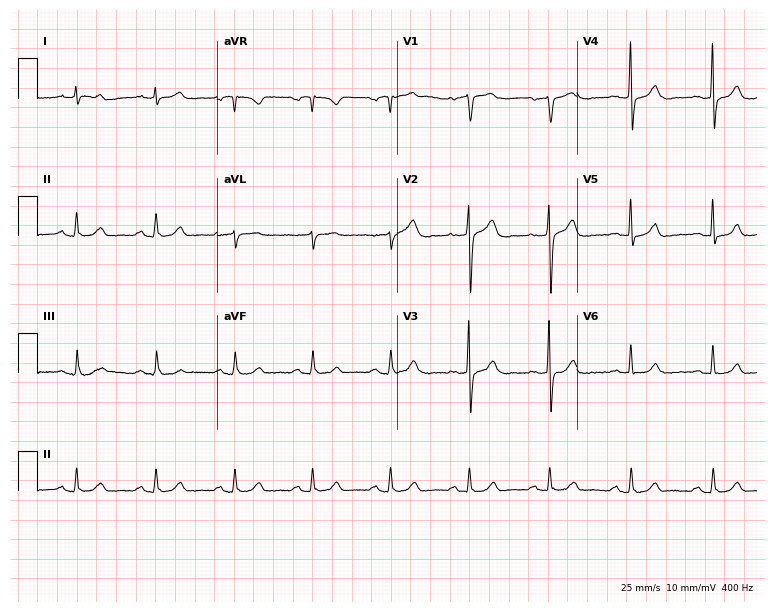
12-lead ECG (7.3-second recording at 400 Hz) from a male patient, 50 years old. Labelled as a normal ECG.